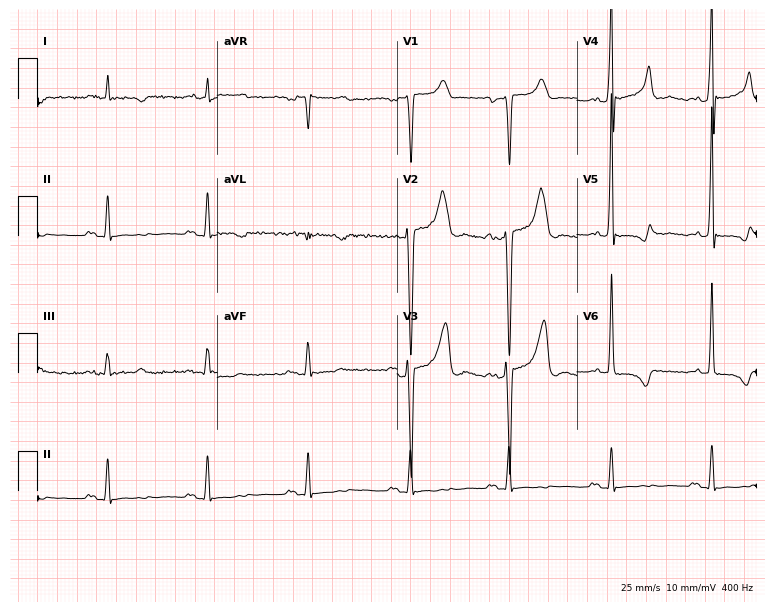
ECG — a male, 30 years old. Screened for six findings — first-degree AV block, right bundle branch block (RBBB), left bundle branch block (LBBB), sinus bradycardia, atrial fibrillation (AF), sinus tachycardia — none is recorded.